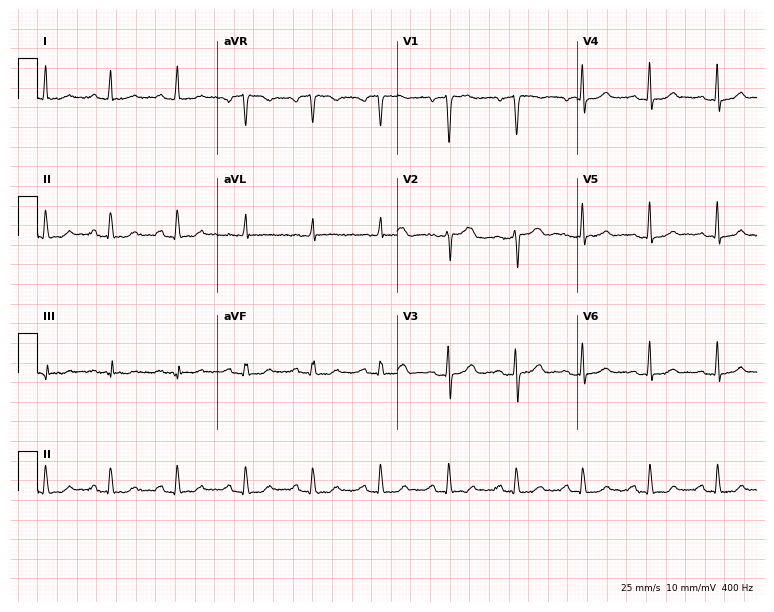
ECG — a 51-year-old female. Labelled as a normal ECG.